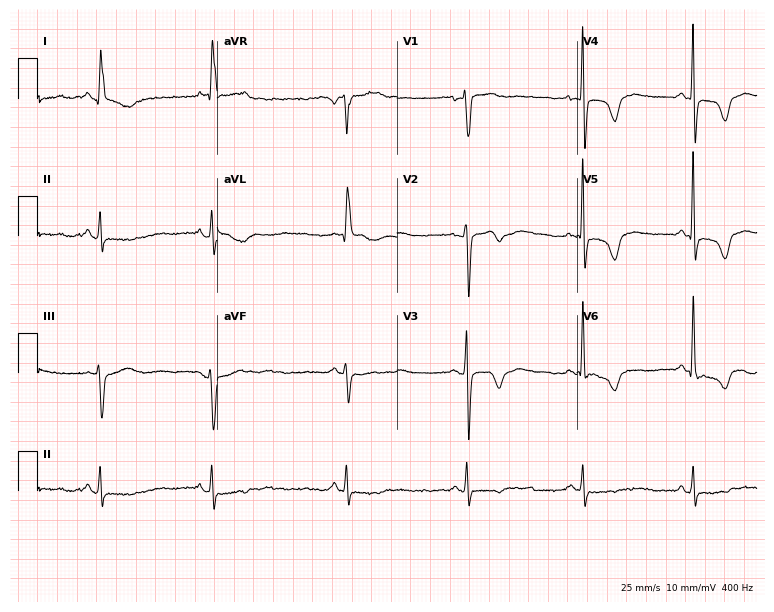
Electrocardiogram (7.3-second recording at 400 Hz), a 67-year-old woman. Of the six screened findings (first-degree AV block, right bundle branch block, left bundle branch block, sinus bradycardia, atrial fibrillation, sinus tachycardia), none is recorded. Findings outside these six are not listed.